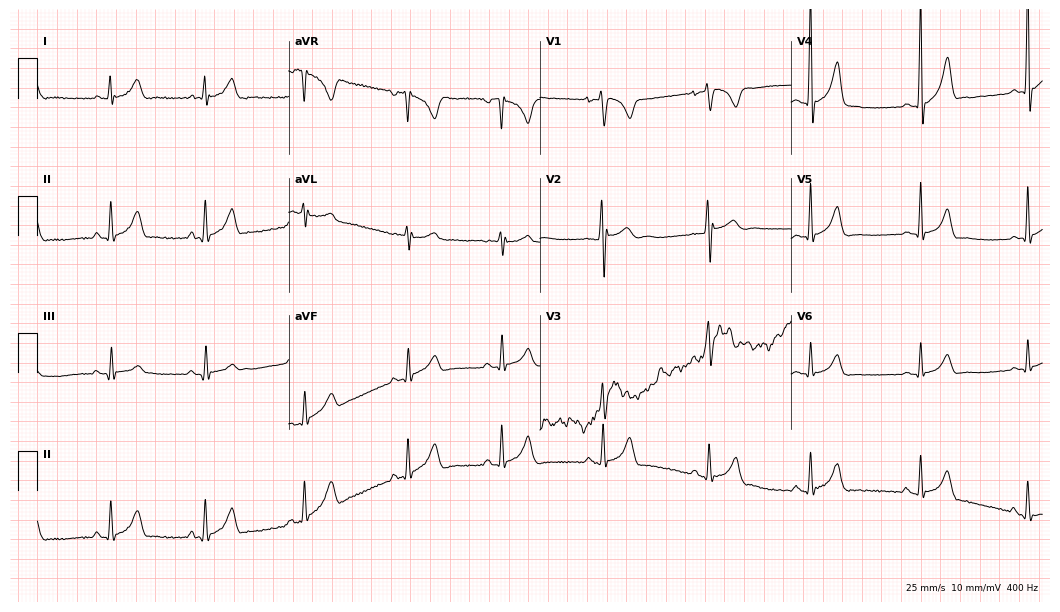
Resting 12-lead electrocardiogram. Patient: a male, 20 years old. None of these six findings is recorded: first-degree AV block, right bundle branch block, left bundle branch block, sinus bradycardia, atrial fibrillation, sinus tachycardia.